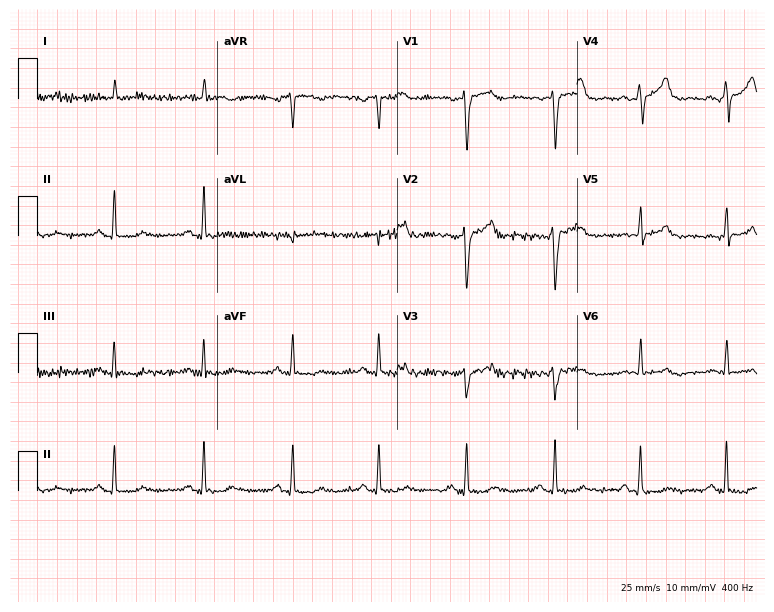
Resting 12-lead electrocardiogram (7.3-second recording at 400 Hz). Patient: a man, 69 years old. None of these six findings is recorded: first-degree AV block, right bundle branch block, left bundle branch block, sinus bradycardia, atrial fibrillation, sinus tachycardia. Other findings, if any, are not listed.